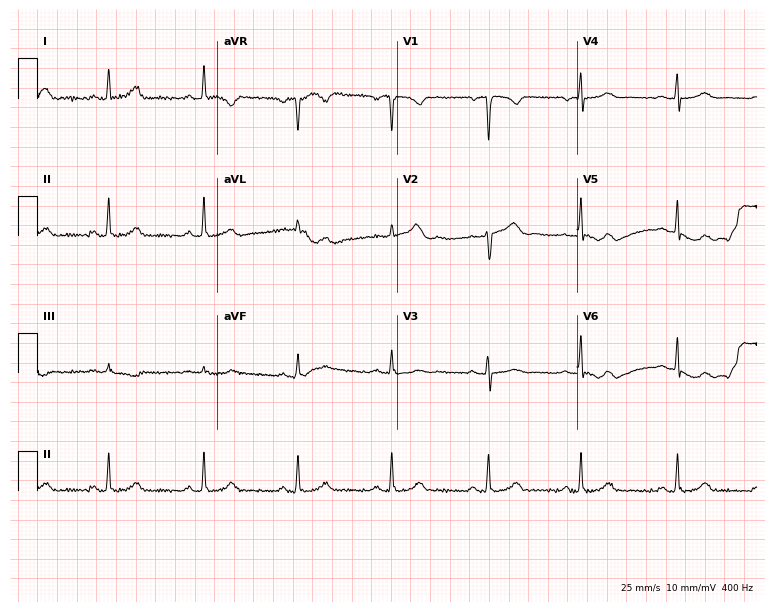
12-lead ECG from a 34-year-old female (7.3-second recording at 400 Hz). Recorded interpretation: within normal limits.